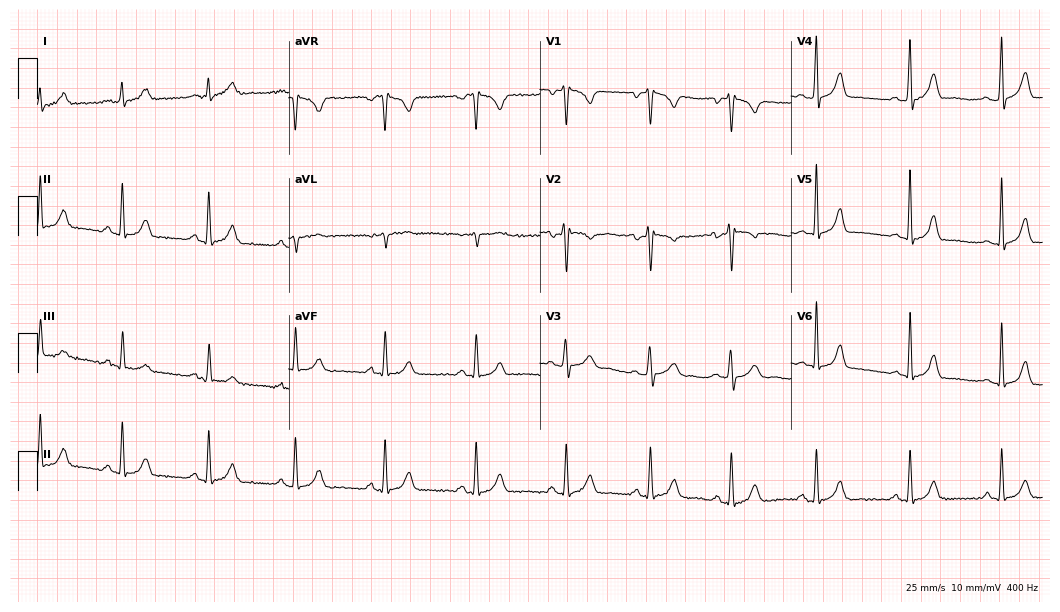
Standard 12-lead ECG recorded from a 25-year-old female patient. Read as a normal ECG.